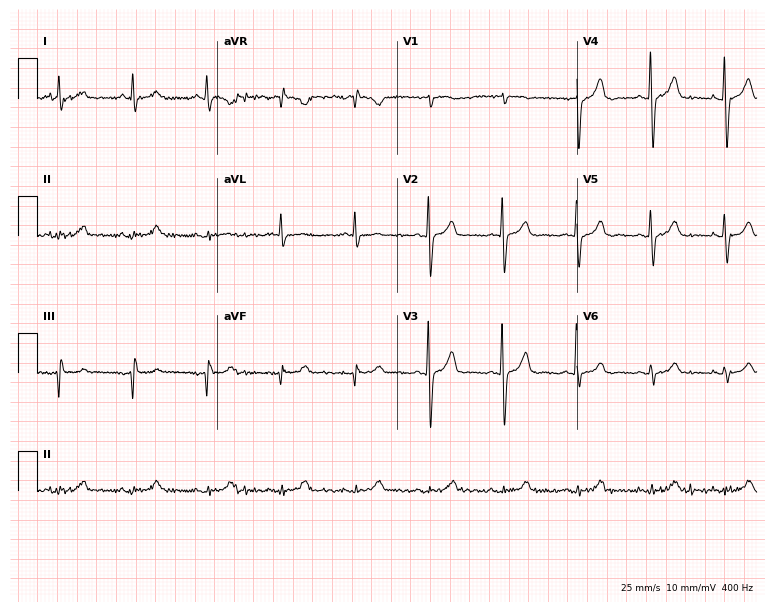
Standard 12-lead ECG recorded from an 80-year-old male patient. None of these six findings is recorded: first-degree AV block, right bundle branch block, left bundle branch block, sinus bradycardia, atrial fibrillation, sinus tachycardia.